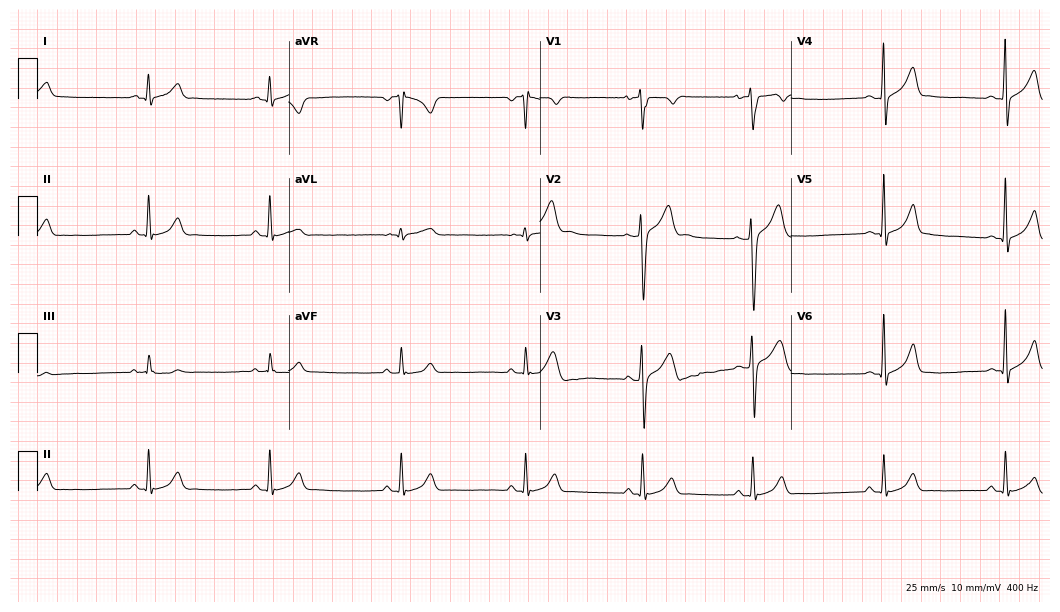
ECG (10.2-second recording at 400 Hz) — a man, 21 years old. Findings include sinus bradycardia (a sinus rate of 50 beats per minute or less).